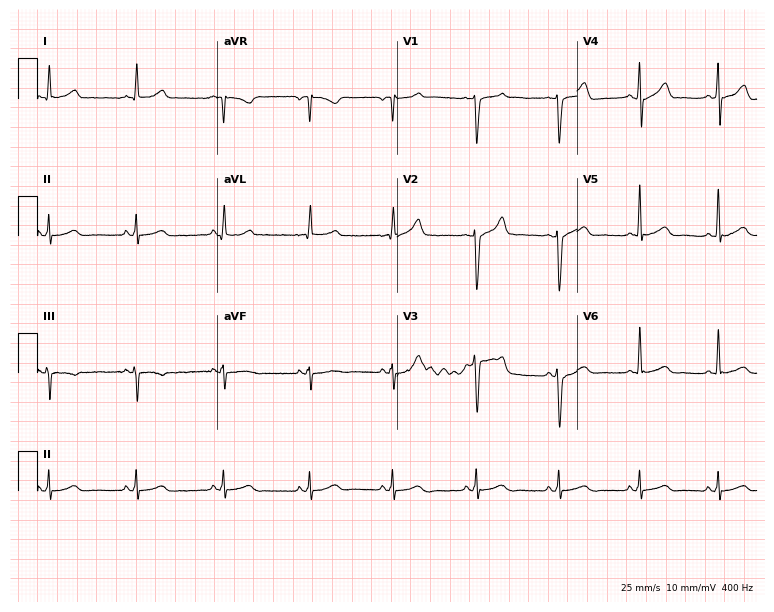
ECG — a 70-year-old male patient. Labelled as a normal ECG.